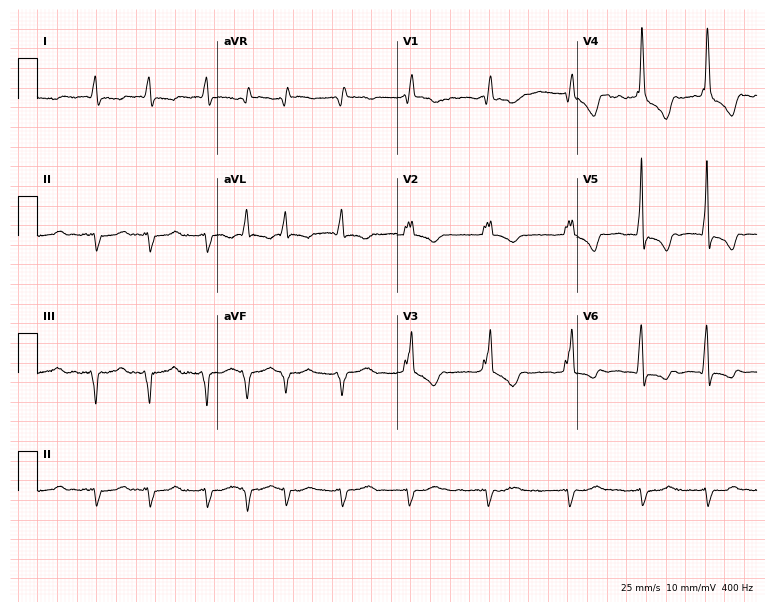
12-lead ECG from an 81-year-old man (7.3-second recording at 400 Hz). Shows right bundle branch block, atrial fibrillation.